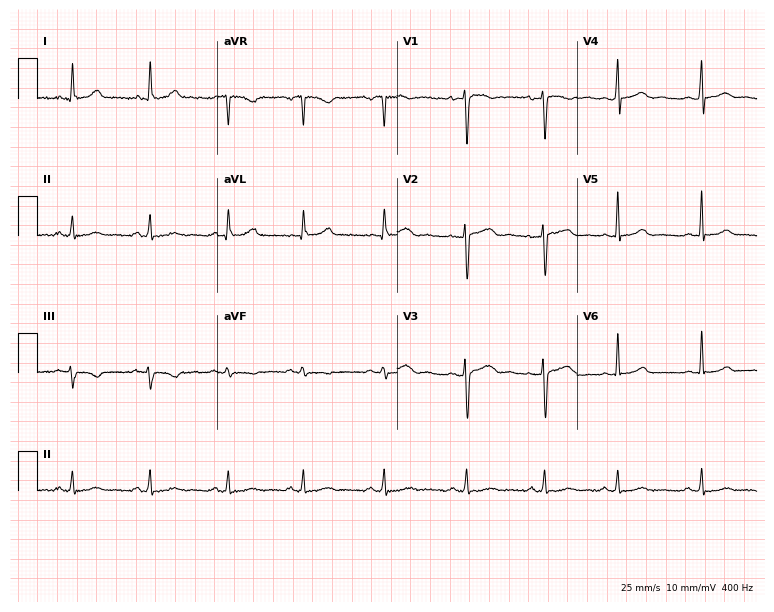
Resting 12-lead electrocardiogram. Patient: a 30-year-old woman. None of these six findings is recorded: first-degree AV block, right bundle branch block, left bundle branch block, sinus bradycardia, atrial fibrillation, sinus tachycardia.